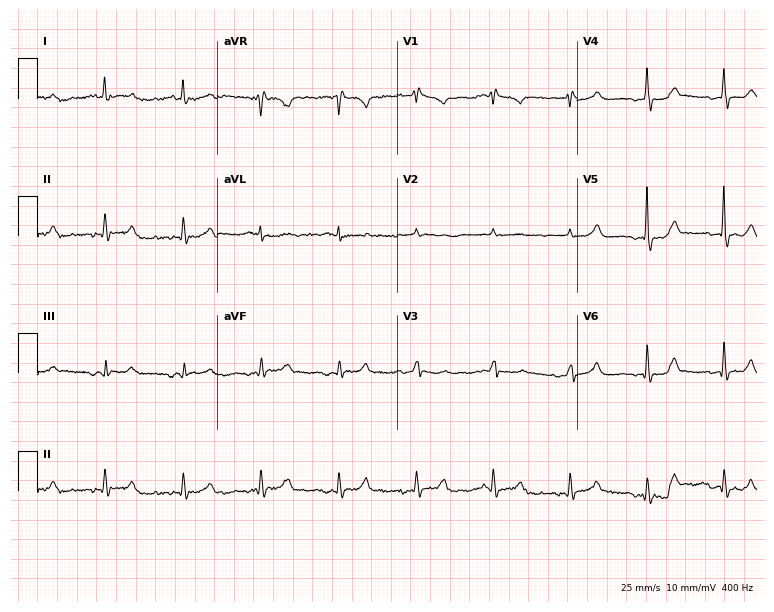
Resting 12-lead electrocardiogram (7.3-second recording at 400 Hz). Patient: a 79-year-old female. None of these six findings is recorded: first-degree AV block, right bundle branch block, left bundle branch block, sinus bradycardia, atrial fibrillation, sinus tachycardia.